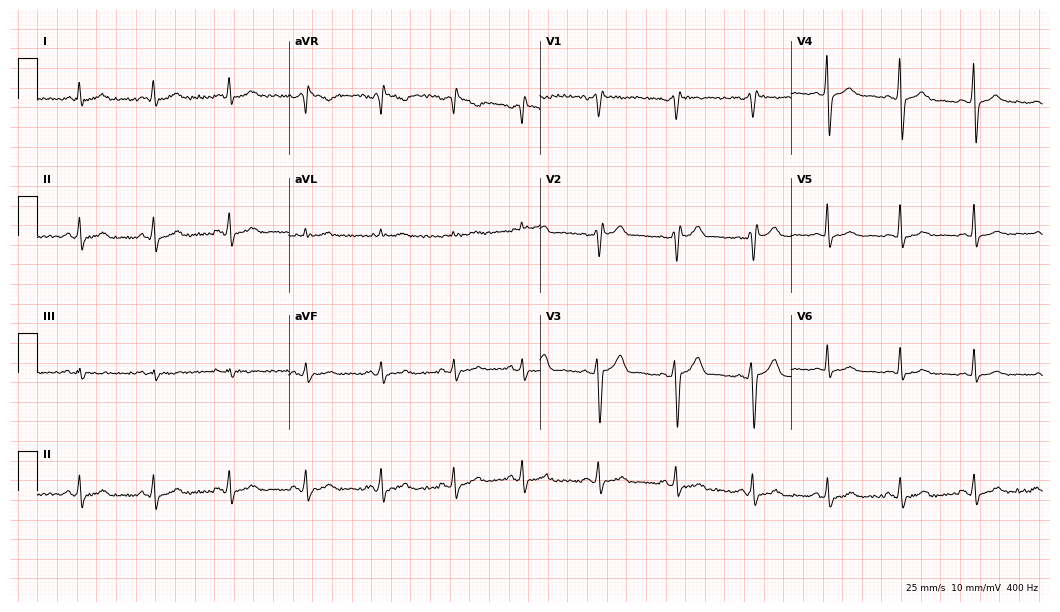
Resting 12-lead electrocardiogram (10.2-second recording at 400 Hz). Patient: a man, 32 years old. None of these six findings is recorded: first-degree AV block, right bundle branch block, left bundle branch block, sinus bradycardia, atrial fibrillation, sinus tachycardia.